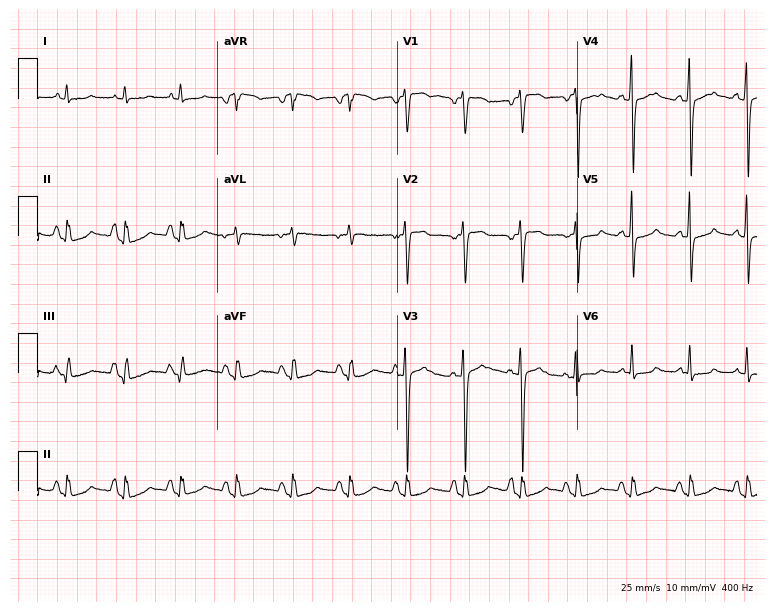
Standard 12-lead ECG recorded from a 78-year-old woman (7.3-second recording at 400 Hz). The tracing shows sinus tachycardia (a sinus rate of 100 beats per minute or more).